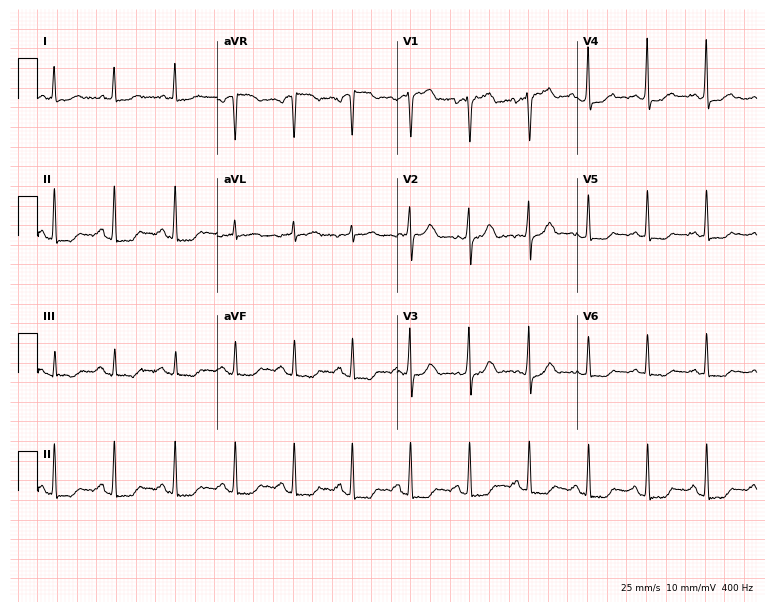
12-lead ECG from a female patient, 57 years old (7.3-second recording at 400 Hz). No first-degree AV block, right bundle branch block, left bundle branch block, sinus bradycardia, atrial fibrillation or sinus tachycardia recorded for this tracing. Only these six findings were labelled.